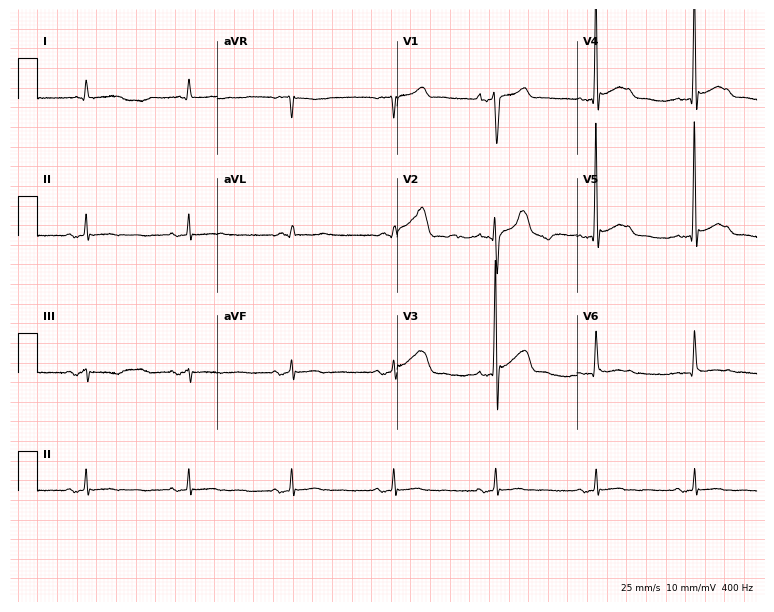
ECG (7.3-second recording at 400 Hz) — a male, 85 years old. Labelled as a normal ECG.